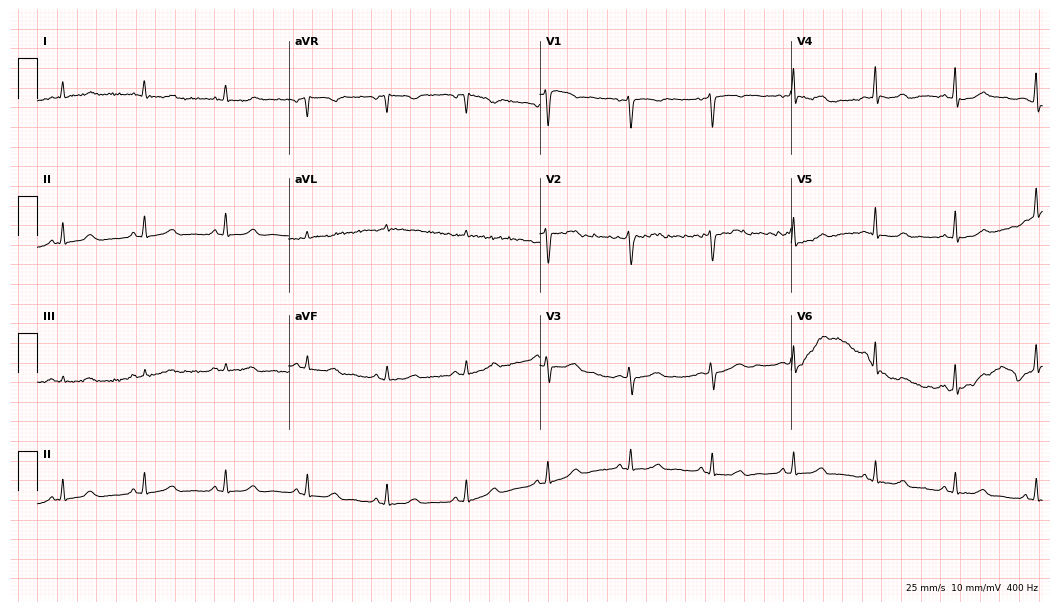
Electrocardiogram (10.2-second recording at 400 Hz), a female patient, 38 years old. Overall reading on record: normal ECG.